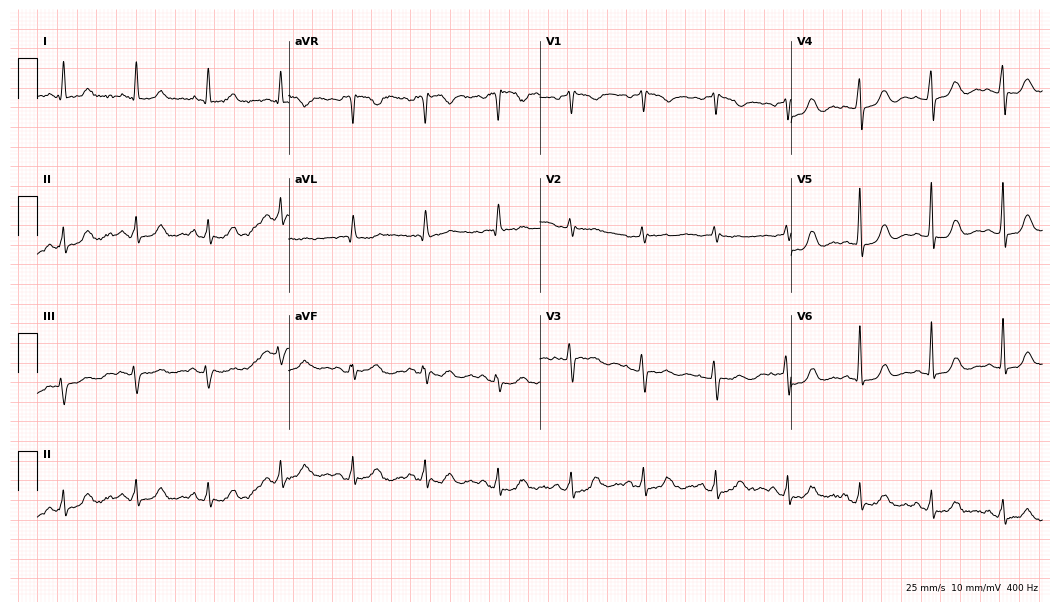
Resting 12-lead electrocardiogram. Patient: an 84-year-old female. Read as a normal ECG.